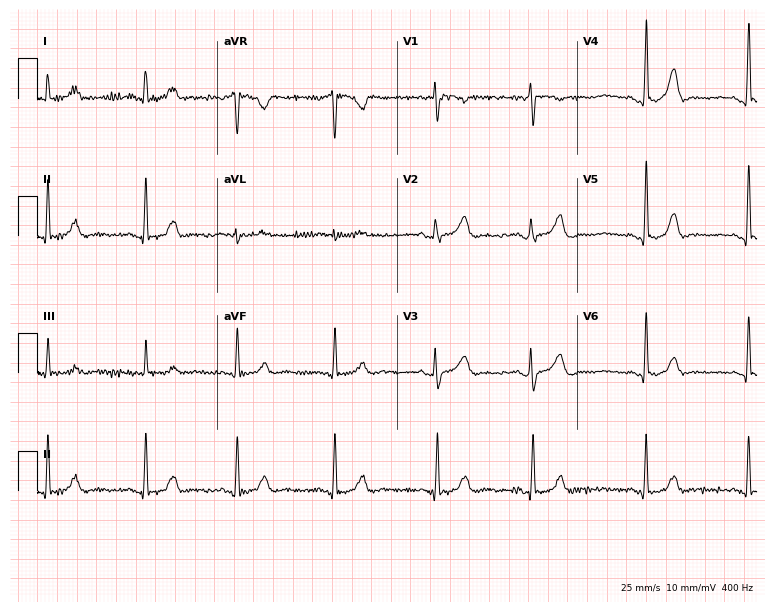
12-lead ECG from a woman, 37 years old. Recorded interpretation: within normal limits.